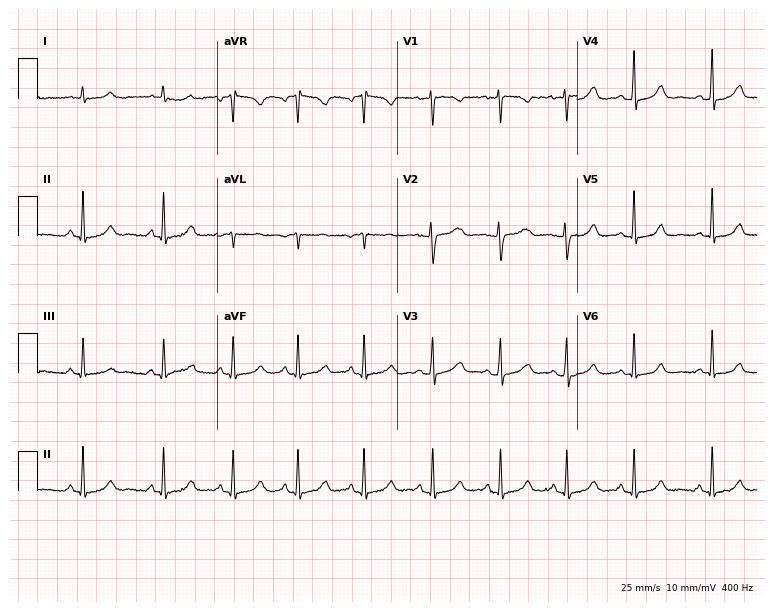
Resting 12-lead electrocardiogram. Patient: a 29-year-old female. Read as a normal ECG.